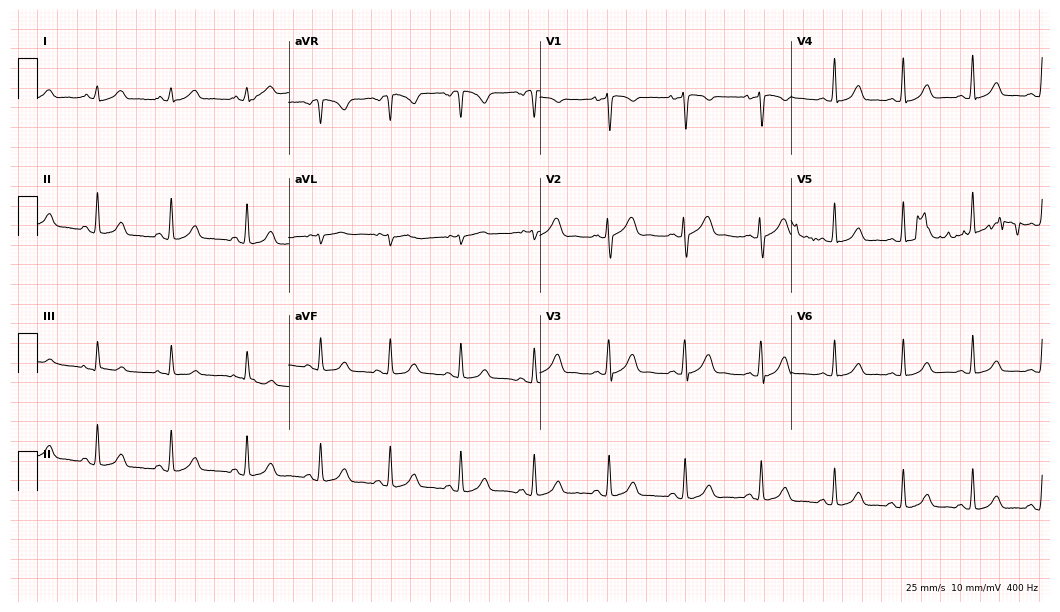
Resting 12-lead electrocardiogram (10.2-second recording at 400 Hz). Patient: a 26-year-old female. None of these six findings is recorded: first-degree AV block, right bundle branch block, left bundle branch block, sinus bradycardia, atrial fibrillation, sinus tachycardia. Only these six findings were labelled.